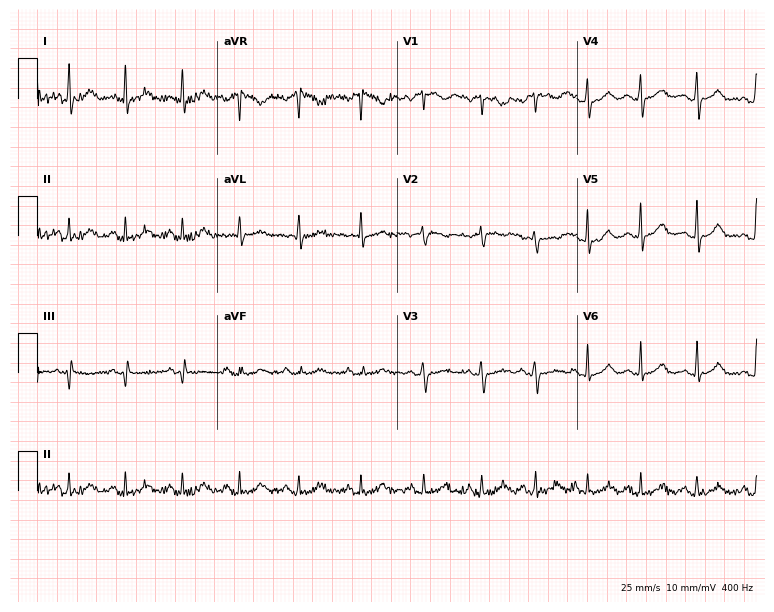
12-lead ECG (7.3-second recording at 400 Hz) from a female patient, 42 years old. Labelled as a normal ECG.